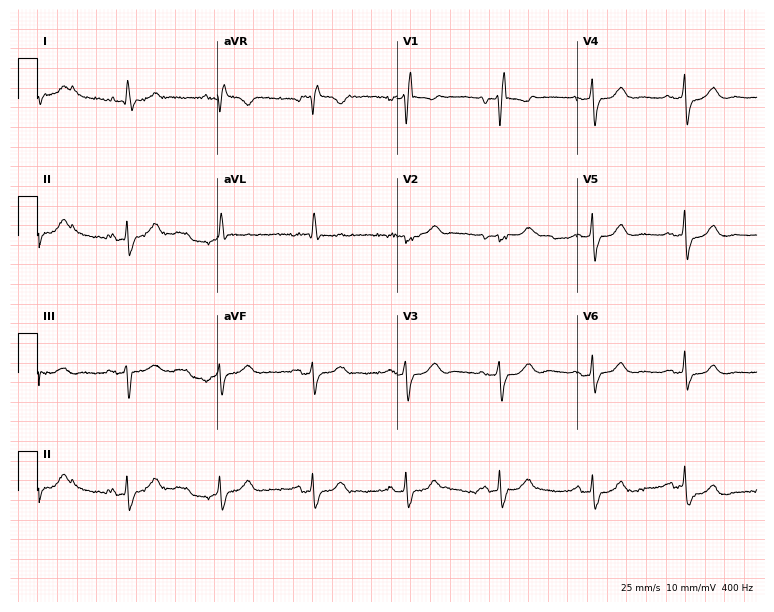
12-lead ECG from a female patient, 80 years old (7.3-second recording at 400 Hz). No first-degree AV block, right bundle branch block, left bundle branch block, sinus bradycardia, atrial fibrillation or sinus tachycardia recorded for this tracing. Only these six findings were labelled.